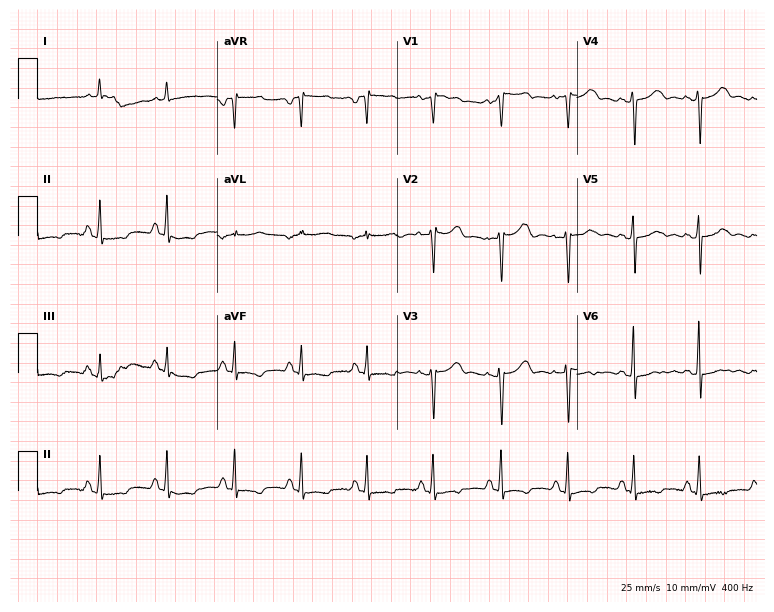
Electrocardiogram, a 68-year-old female patient. Of the six screened findings (first-degree AV block, right bundle branch block (RBBB), left bundle branch block (LBBB), sinus bradycardia, atrial fibrillation (AF), sinus tachycardia), none is recorded.